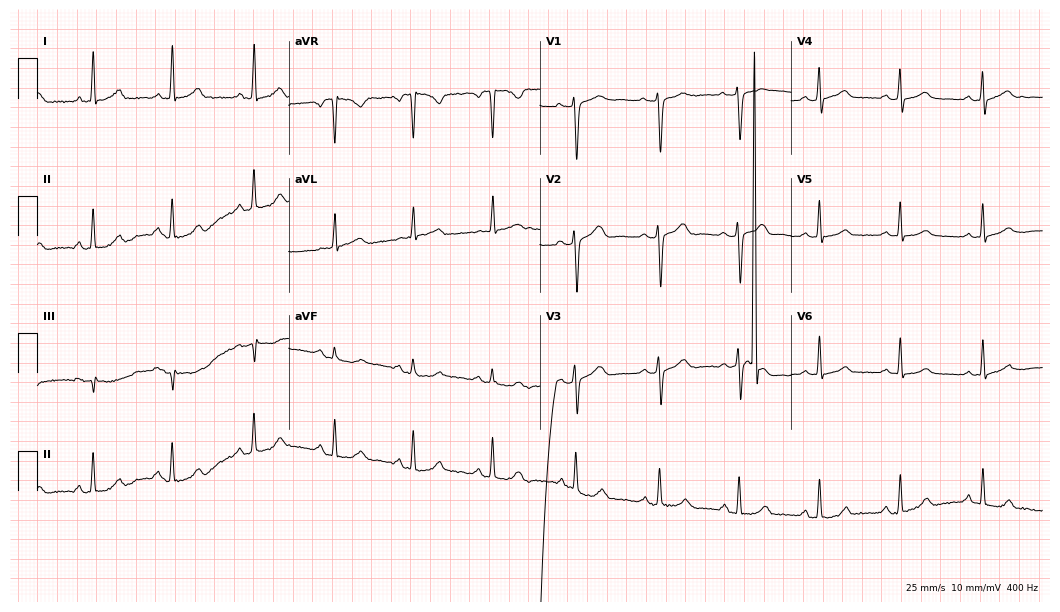
ECG (10.2-second recording at 400 Hz) — a female patient, 46 years old. Screened for six findings — first-degree AV block, right bundle branch block (RBBB), left bundle branch block (LBBB), sinus bradycardia, atrial fibrillation (AF), sinus tachycardia — none is recorded.